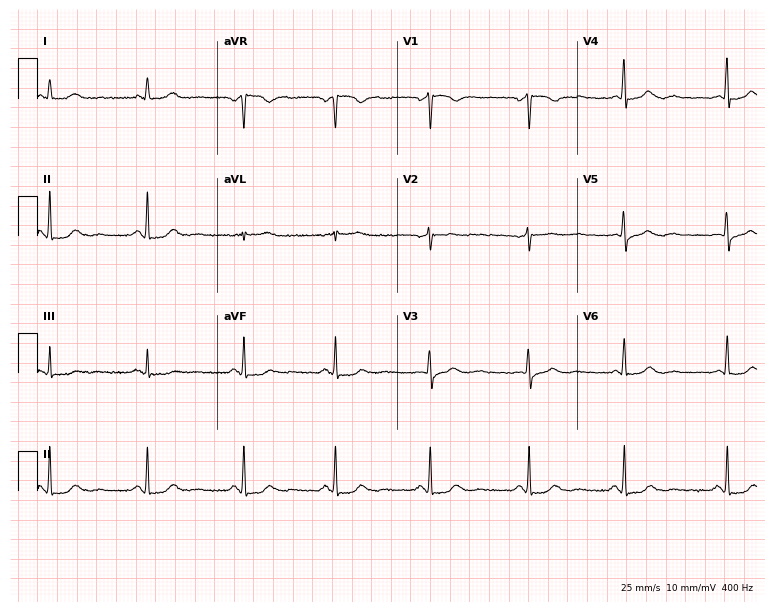
Standard 12-lead ECG recorded from a female patient, 50 years old (7.3-second recording at 400 Hz). None of these six findings is recorded: first-degree AV block, right bundle branch block, left bundle branch block, sinus bradycardia, atrial fibrillation, sinus tachycardia. Findings outside these six are not listed.